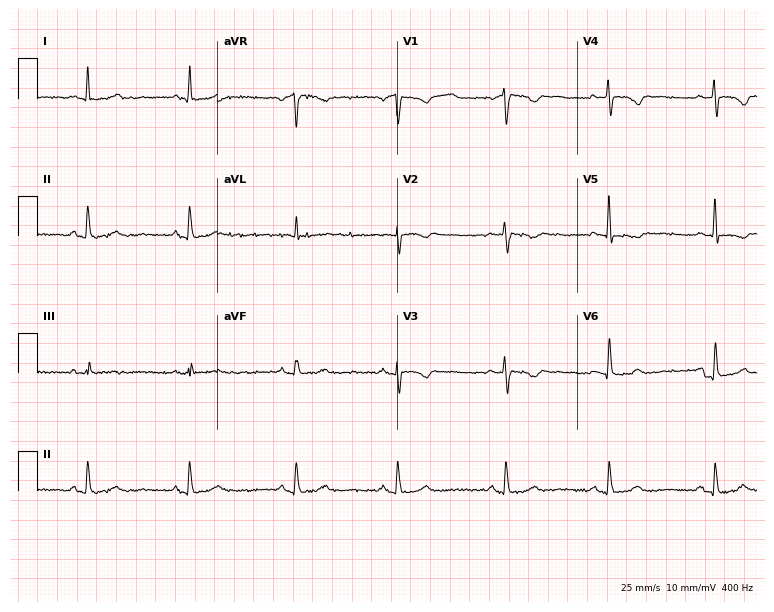
ECG — a 61-year-old woman. Screened for six findings — first-degree AV block, right bundle branch block, left bundle branch block, sinus bradycardia, atrial fibrillation, sinus tachycardia — none is recorded.